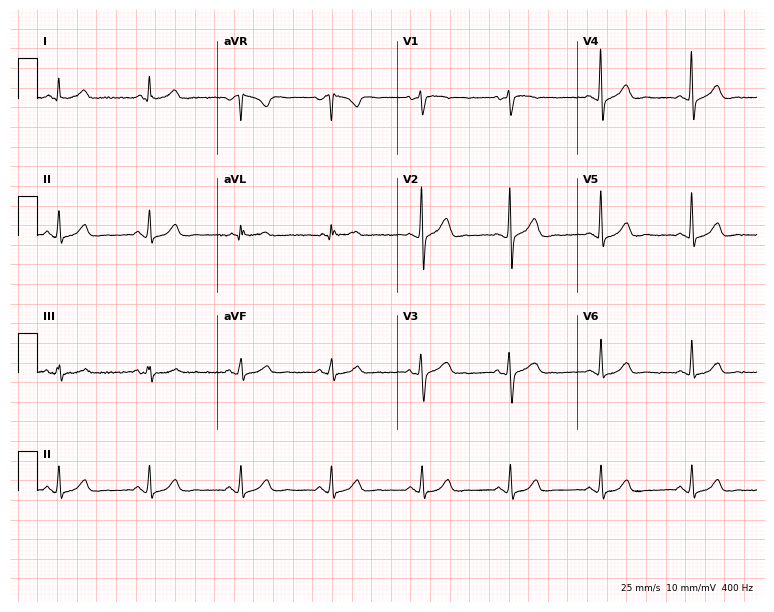
Electrocardiogram (7.3-second recording at 400 Hz), a man, 62 years old. Overall reading on record: normal ECG.